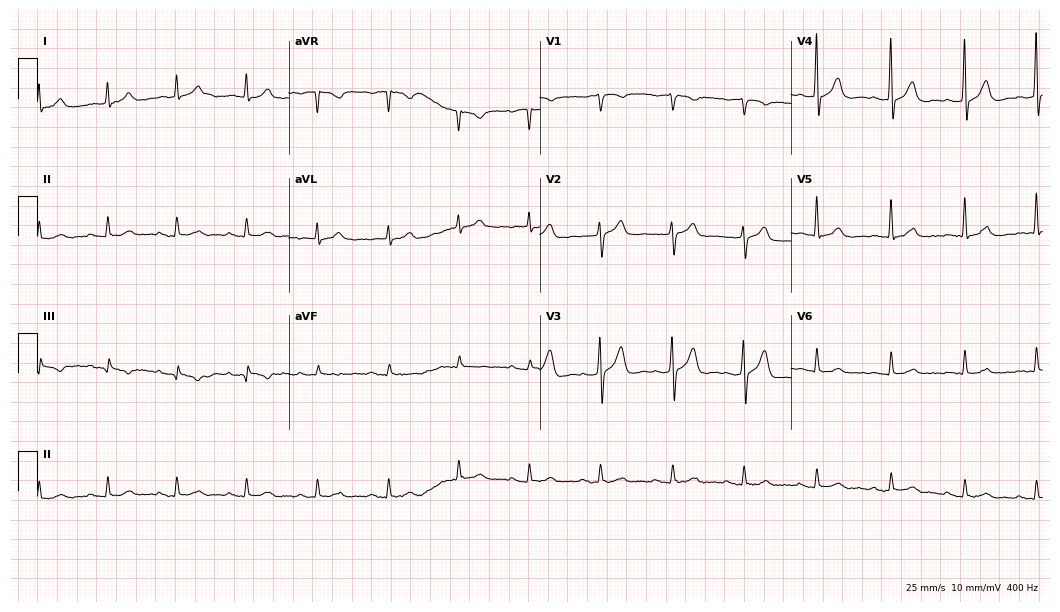
Standard 12-lead ECG recorded from a 76-year-old man (10.2-second recording at 400 Hz). None of these six findings is recorded: first-degree AV block, right bundle branch block (RBBB), left bundle branch block (LBBB), sinus bradycardia, atrial fibrillation (AF), sinus tachycardia.